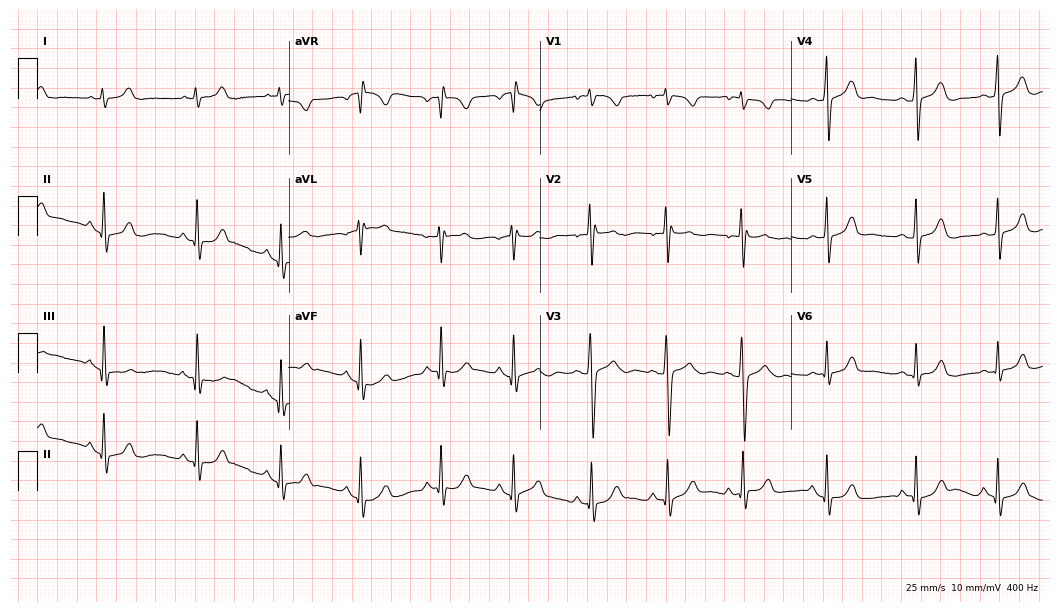
Standard 12-lead ECG recorded from a 19-year-old female patient (10.2-second recording at 400 Hz). None of these six findings is recorded: first-degree AV block, right bundle branch block (RBBB), left bundle branch block (LBBB), sinus bradycardia, atrial fibrillation (AF), sinus tachycardia.